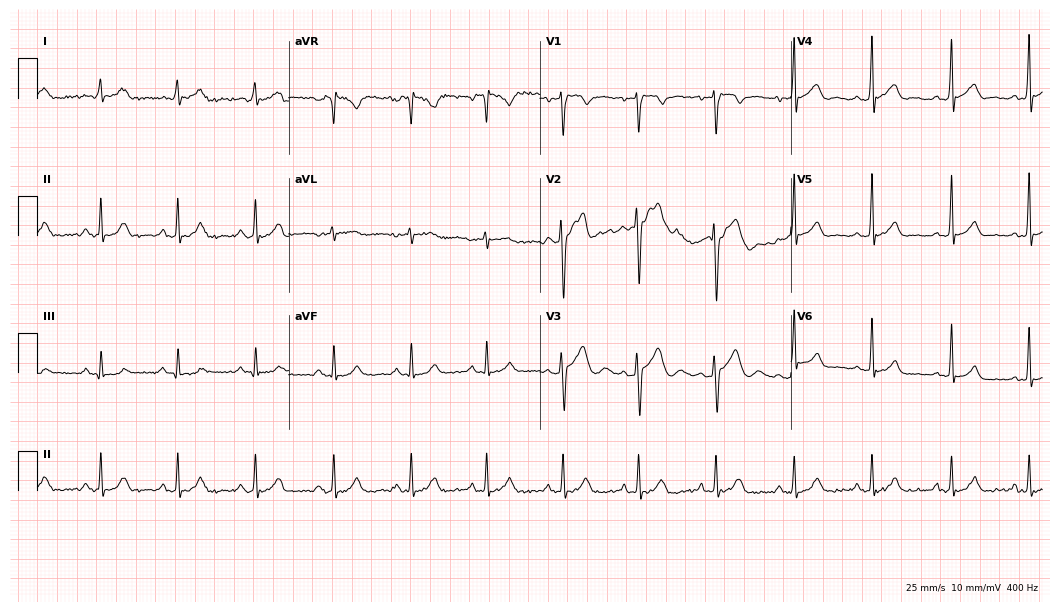
ECG — a man, 22 years old. Labelled as a normal ECG.